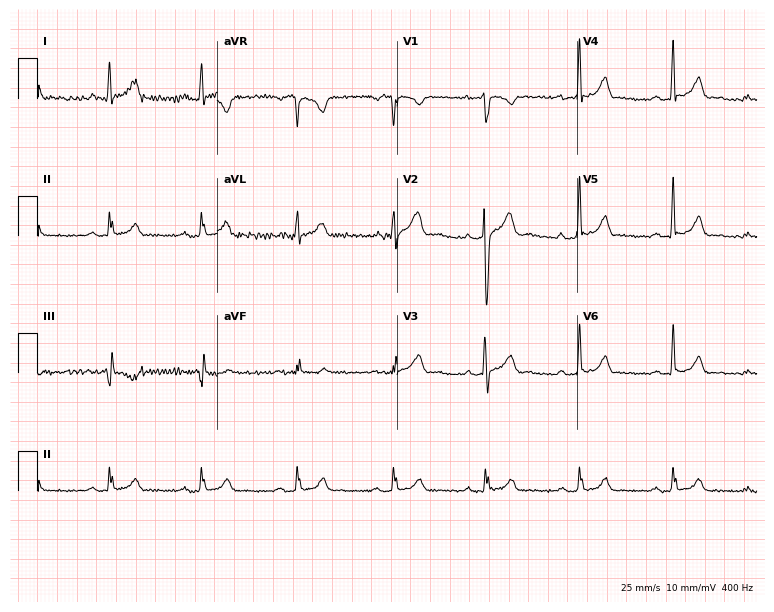
12-lead ECG from a male patient, 35 years old. Recorded interpretation: within normal limits.